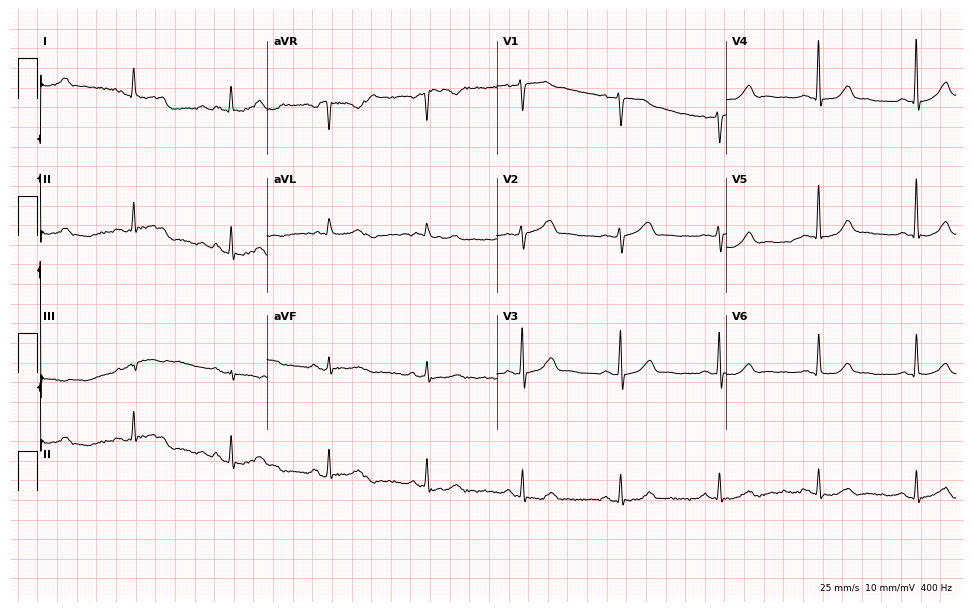
ECG — a 75-year-old woman. Screened for six findings — first-degree AV block, right bundle branch block, left bundle branch block, sinus bradycardia, atrial fibrillation, sinus tachycardia — none is recorded. Other findings, if any, are not listed.